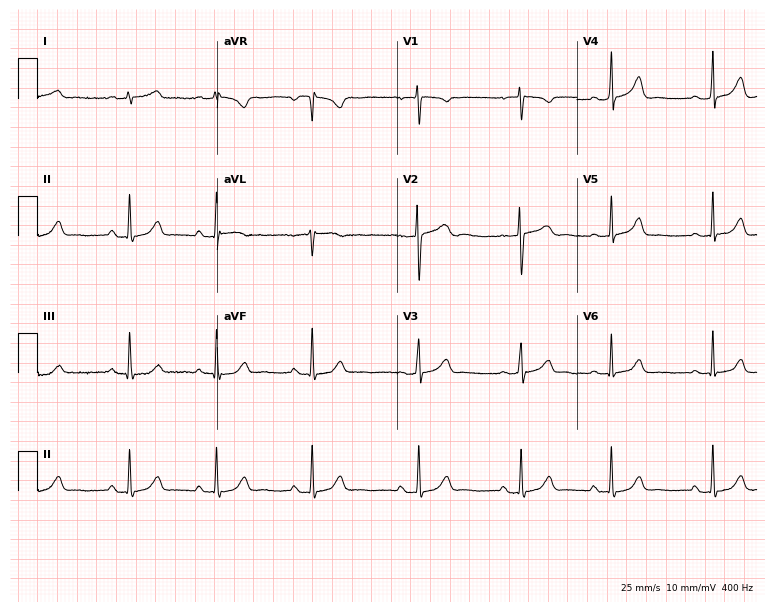
12-lead ECG (7.3-second recording at 400 Hz) from a woman, 22 years old. Labelled as a normal ECG.